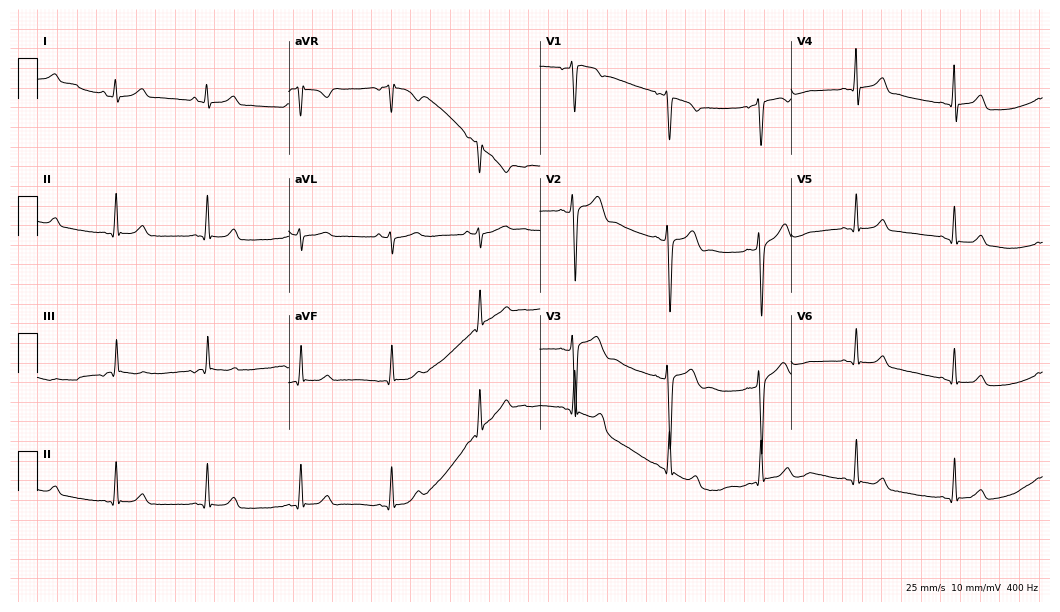
Standard 12-lead ECG recorded from a man, 18 years old. Read as a normal ECG.